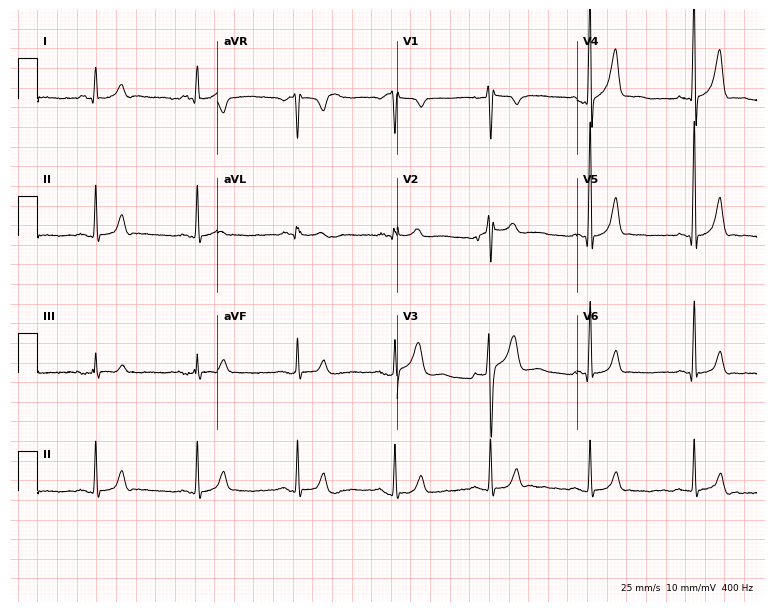
ECG (7.3-second recording at 400 Hz) — a 26-year-old male patient. Labelled as a normal ECG.